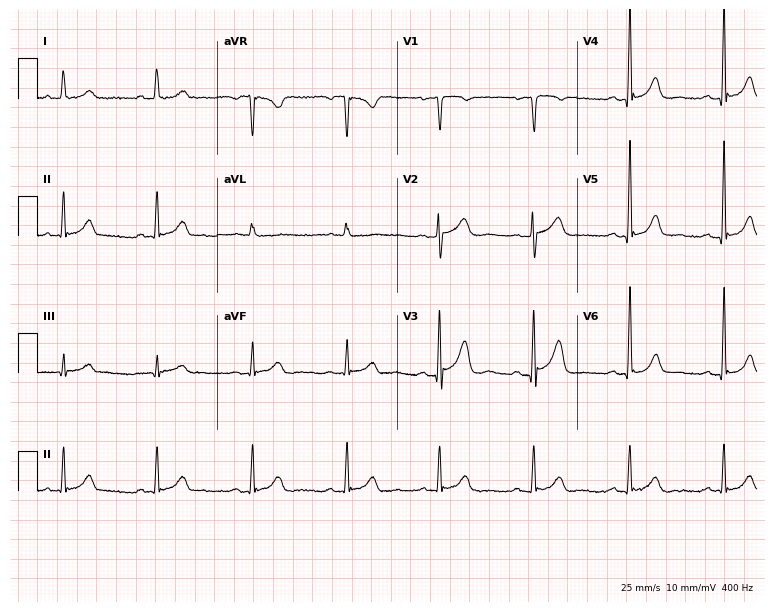
Resting 12-lead electrocardiogram (7.3-second recording at 400 Hz). Patient: an 81-year-old man. None of these six findings is recorded: first-degree AV block, right bundle branch block, left bundle branch block, sinus bradycardia, atrial fibrillation, sinus tachycardia. Findings outside these six are not listed.